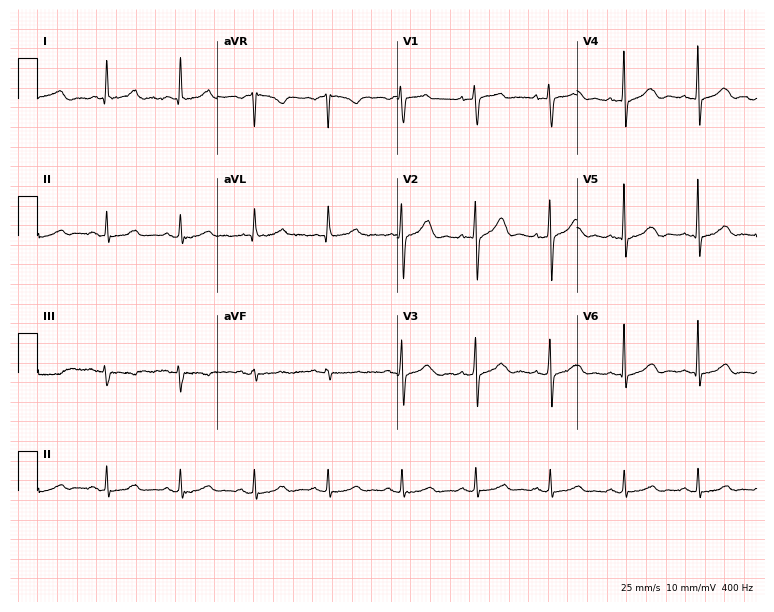
12-lead ECG (7.3-second recording at 400 Hz) from a female patient, 58 years old. Labelled as a normal ECG.